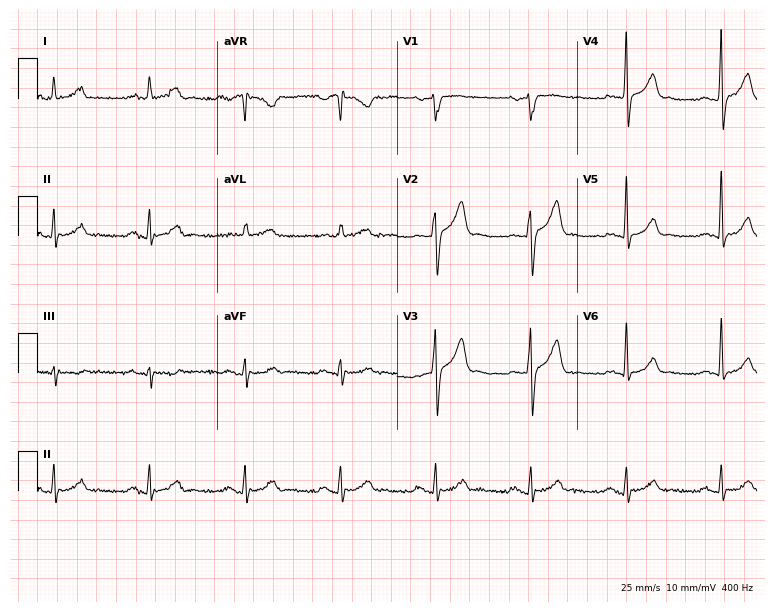
12-lead ECG from a man, 64 years old. Recorded interpretation: within normal limits.